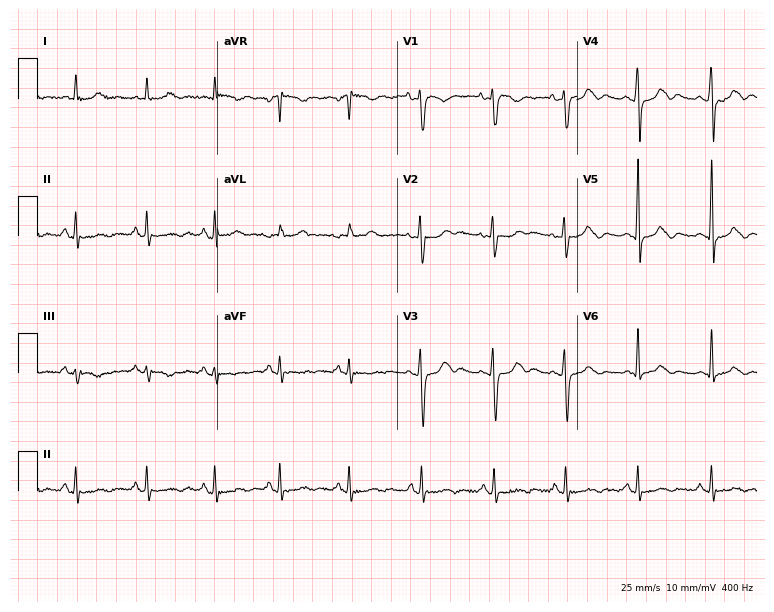
12-lead ECG from a 50-year-old female patient. Screened for six findings — first-degree AV block, right bundle branch block, left bundle branch block, sinus bradycardia, atrial fibrillation, sinus tachycardia — none is recorded.